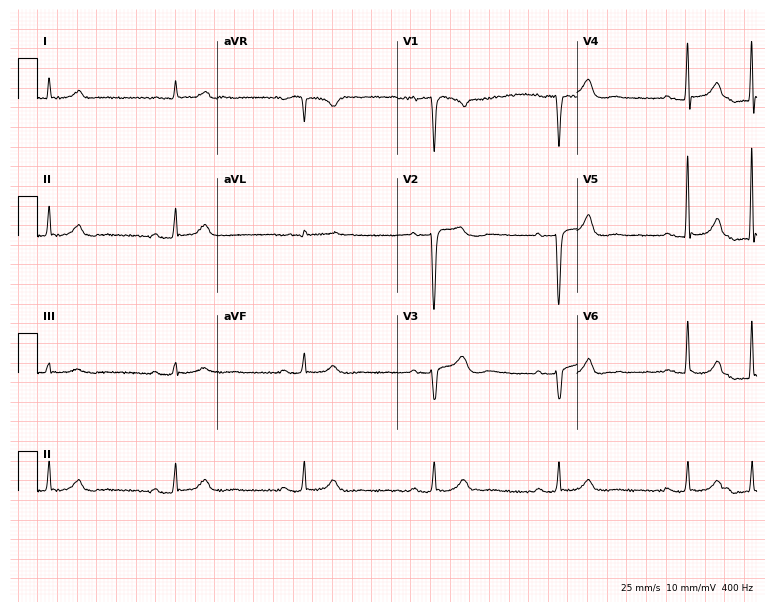
12-lead ECG (7.3-second recording at 400 Hz) from a 55-year-old man. Findings include sinus bradycardia (a sinus rate of 50 beats per minute or less).